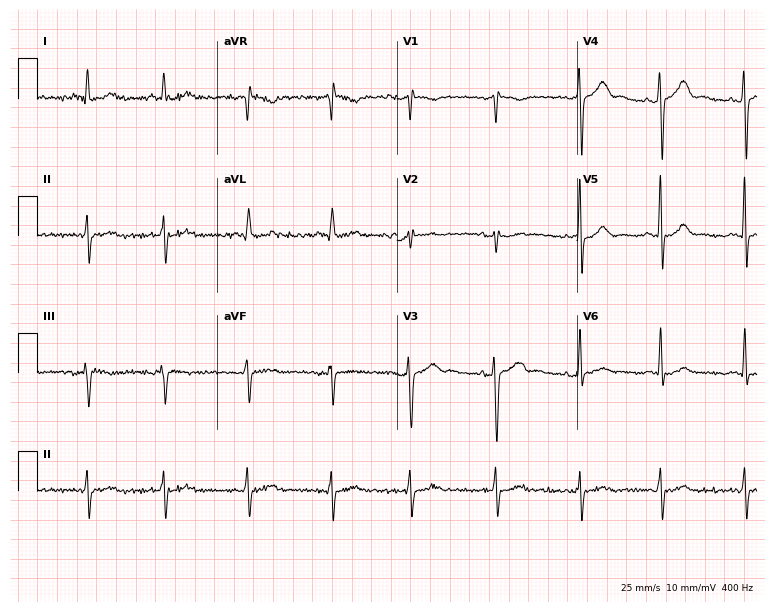
Resting 12-lead electrocardiogram. Patient: a 51-year-old woman. None of these six findings is recorded: first-degree AV block, right bundle branch block (RBBB), left bundle branch block (LBBB), sinus bradycardia, atrial fibrillation (AF), sinus tachycardia.